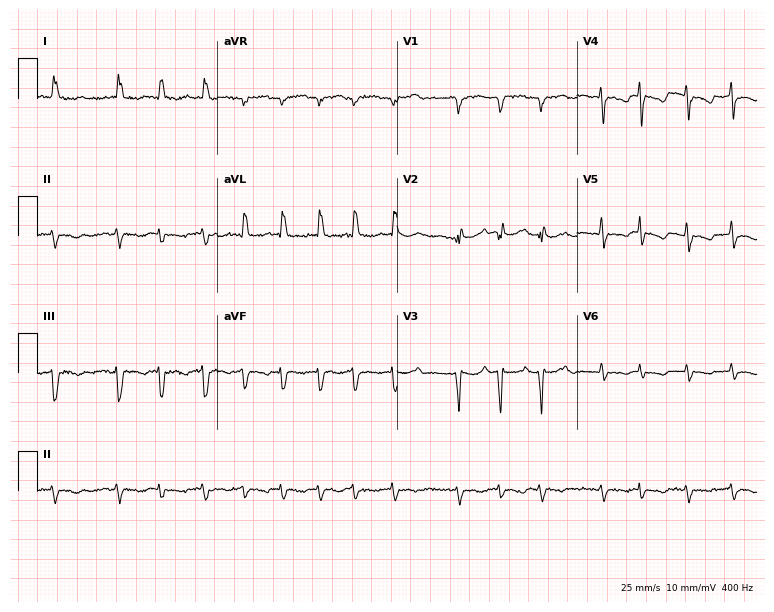
Electrocardiogram (7.3-second recording at 400 Hz), an 88-year-old woman. Interpretation includes atrial fibrillation.